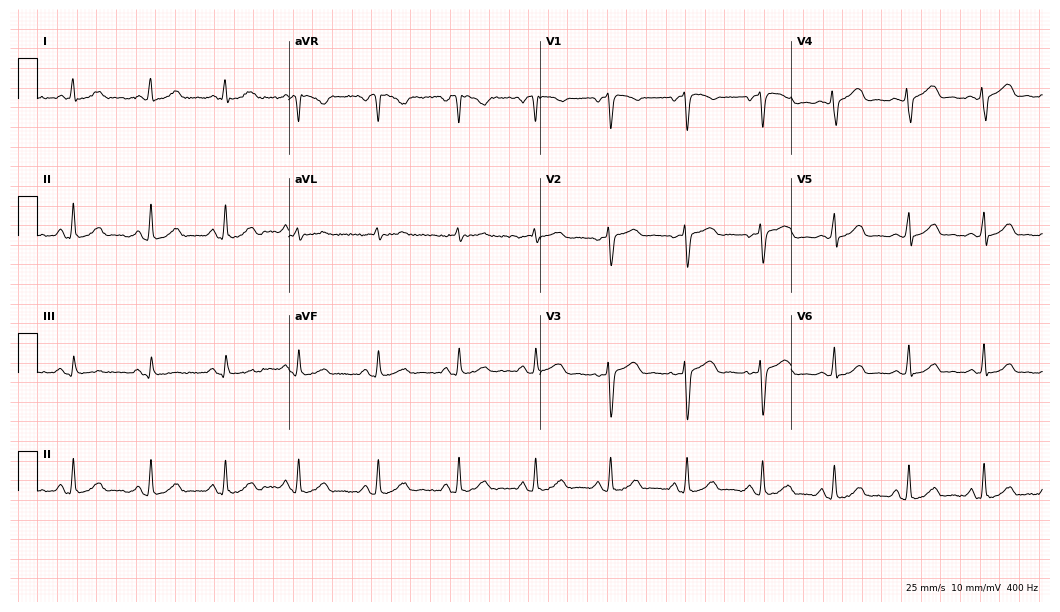
Standard 12-lead ECG recorded from a 44-year-old female (10.2-second recording at 400 Hz). None of these six findings is recorded: first-degree AV block, right bundle branch block, left bundle branch block, sinus bradycardia, atrial fibrillation, sinus tachycardia. Only these six findings were labelled.